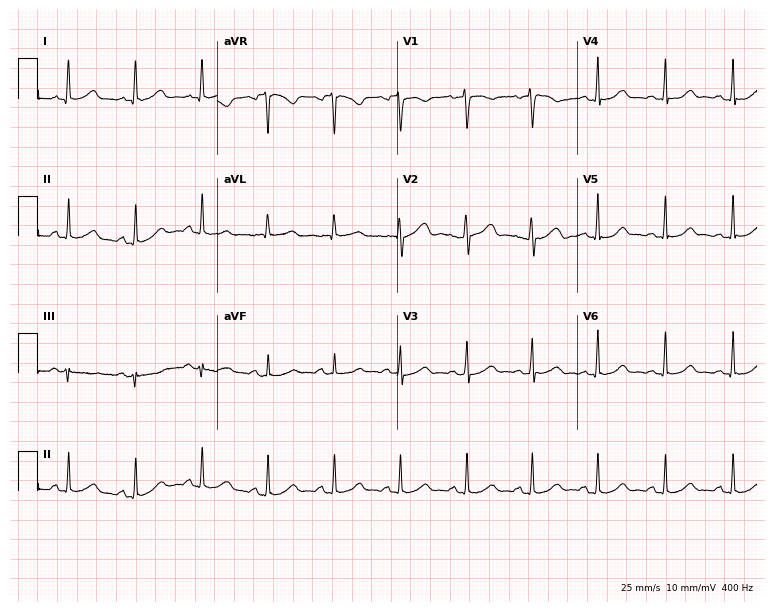
ECG (7.3-second recording at 400 Hz) — a female patient, 53 years old. Labelled as a normal ECG.